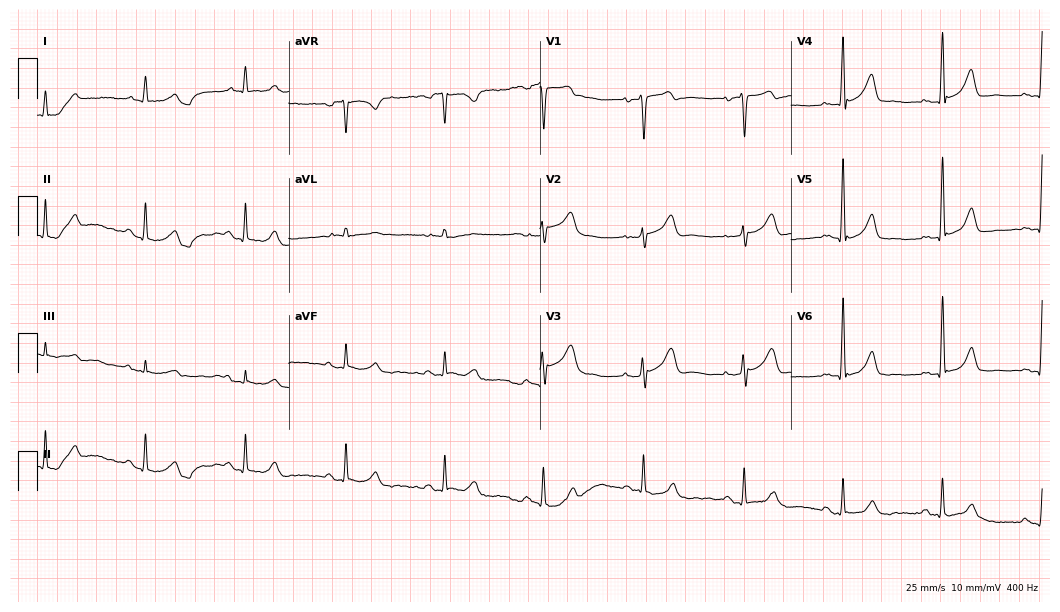
ECG (10.2-second recording at 400 Hz) — a man, 74 years old. Labelled as a normal ECG.